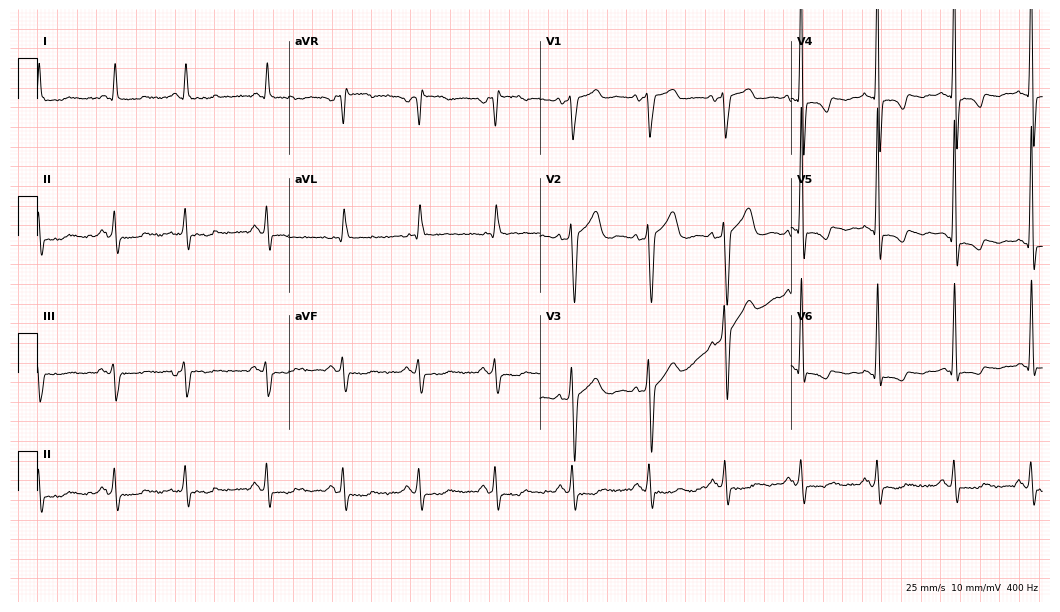
ECG (10.2-second recording at 400 Hz) — an 80-year-old male. Screened for six findings — first-degree AV block, right bundle branch block, left bundle branch block, sinus bradycardia, atrial fibrillation, sinus tachycardia — none is recorded.